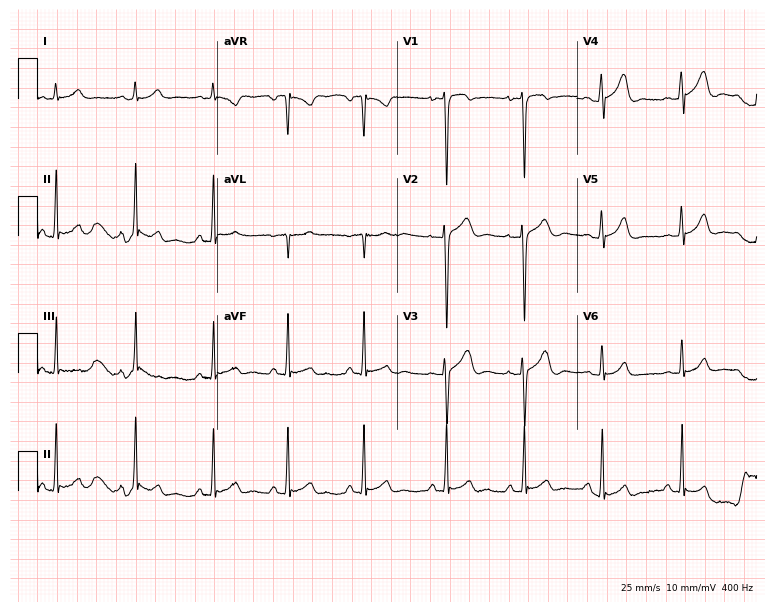
12-lead ECG from a man, 18 years old. No first-degree AV block, right bundle branch block, left bundle branch block, sinus bradycardia, atrial fibrillation or sinus tachycardia recorded for this tracing. Findings outside these six are not listed.